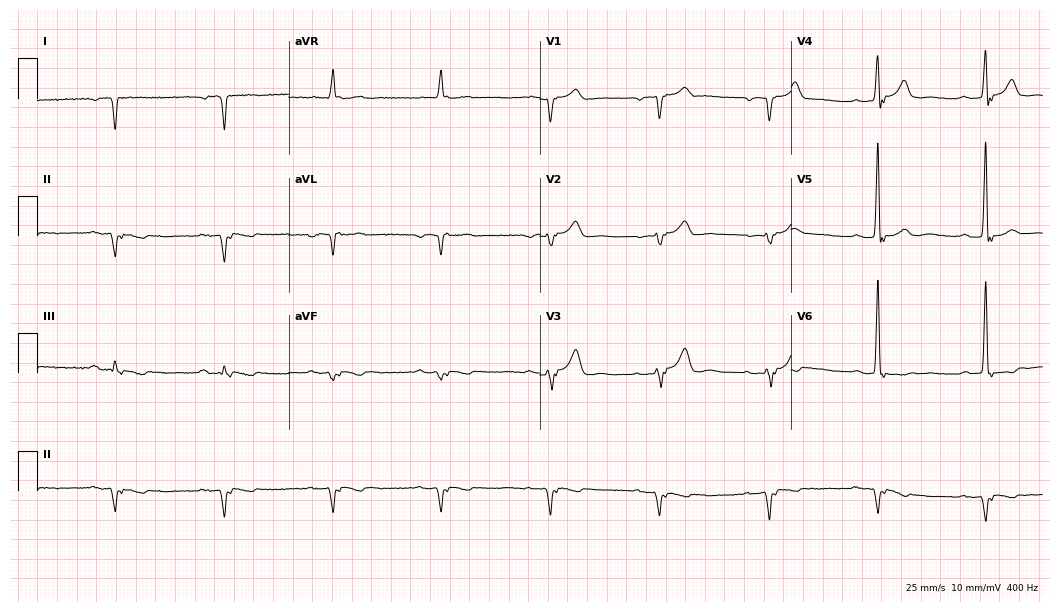
12-lead ECG from a 62-year-old female. No first-degree AV block, right bundle branch block, left bundle branch block, sinus bradycardia, atrial fibrillation or sinus tachycardia recorded for this tracing.